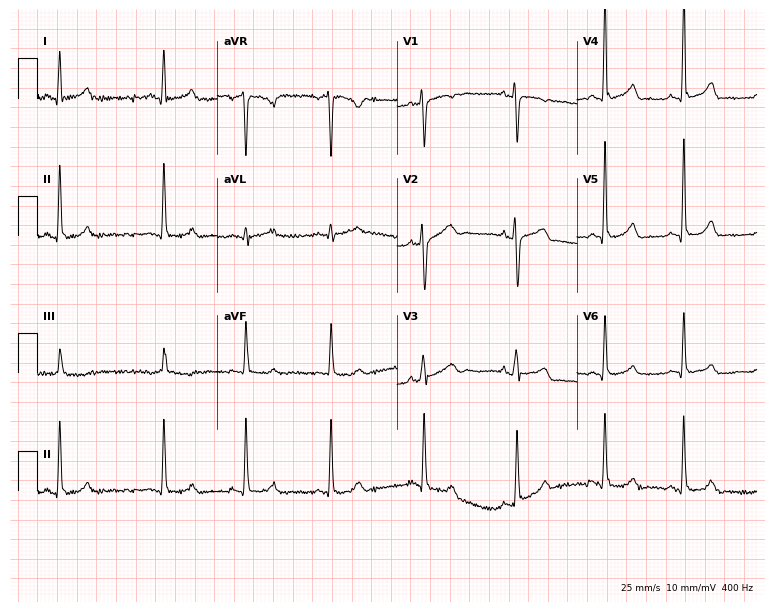
Resting 12-lead electrocardiogram (7.3-second recording at 400 Hz). Patient: a 34-year-old female. Read as a normal ECG.